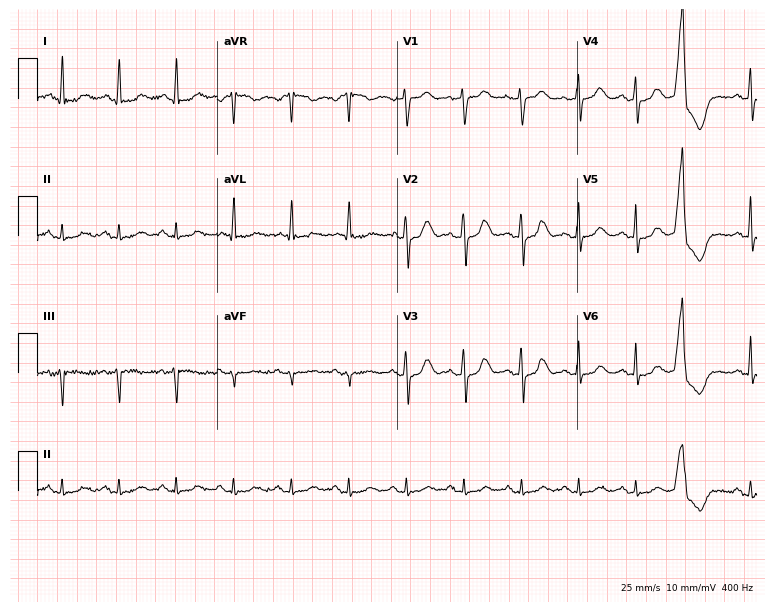
12-lead ECG (7.3-second recording at 400 Hz) from a 70-year-old female. Findings include sinus tachycardia (a sinus rate of 100 beats per minute or more).